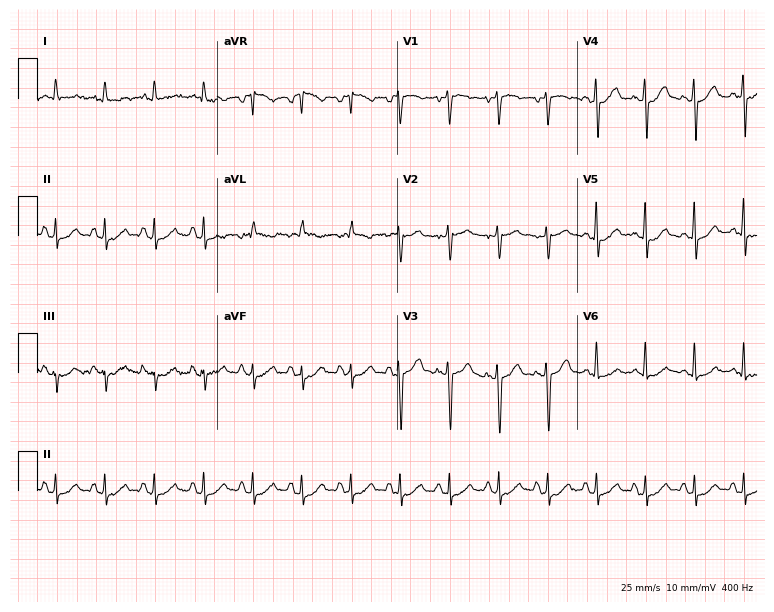
12-lead ECG from a 69-year-old man. Shows sinus tachycardia (a sinus rate of 100 beats per minute or more).